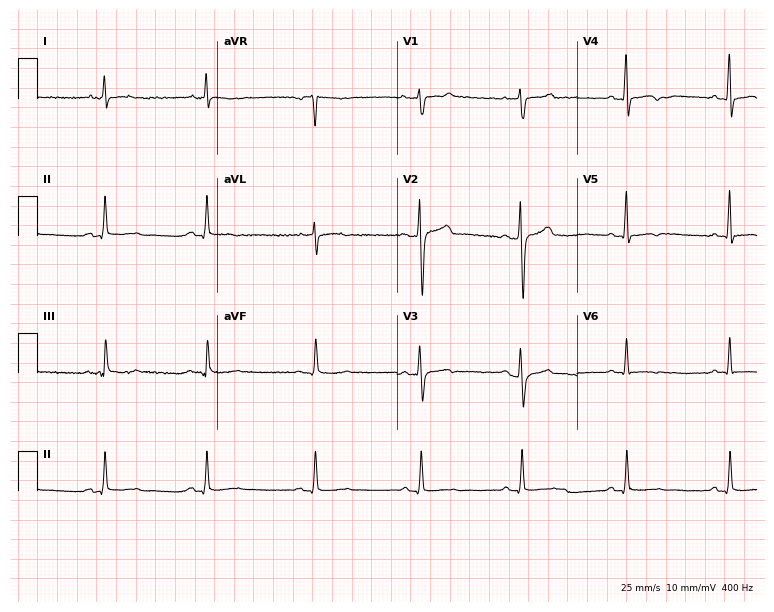
12-lead ECG from a male, 55 years old. Screened for six findings — first-degree AV block, right bundle branch block (RBBB), left bundle branch block (LBBB), sinus bradycardia, atrial fibrillation (AF), sinus tachycardia — none is recorded. Other findings, if any, are not listed.